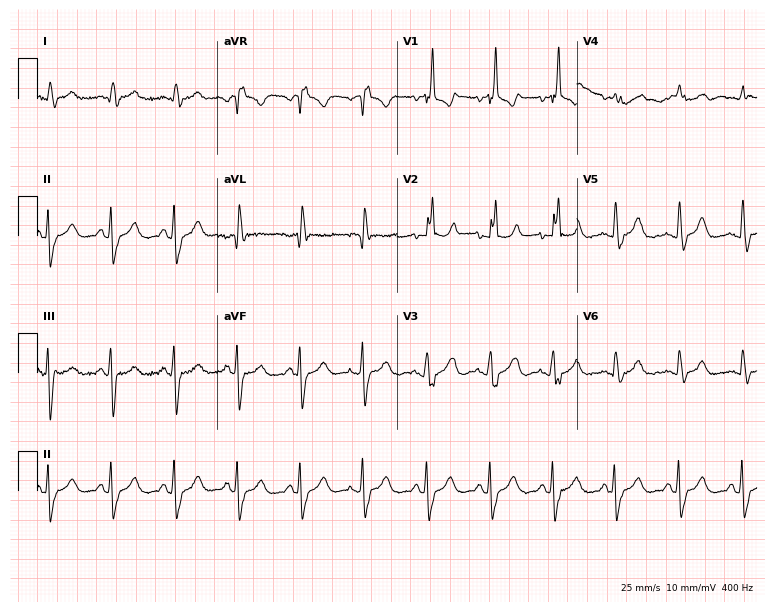
12-lead ECG (7.3-second recording at 400 Hz) from an 86-year-old man. Findings include right bundle branch block.